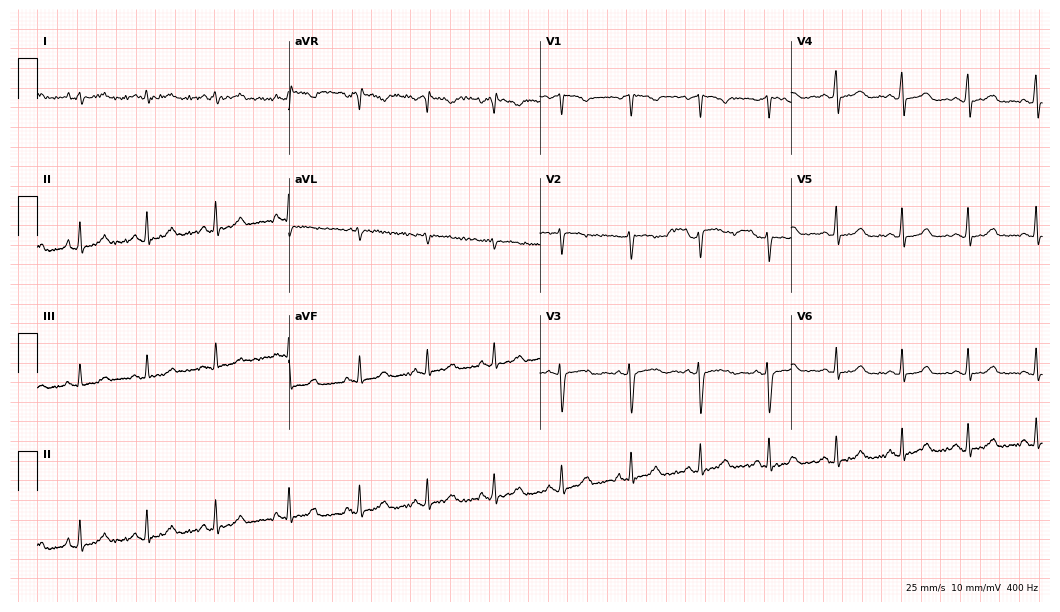
ECG (10.2-second recording at 400 Hz) — a 42-year-old woman. Screened for six findings — first-degree AV block, right bundle branch block (RBBB), left bundle branch block (LBBB), sinus bradycardia, atrial fibrillation (AF), sinus tachycardia — none is recorded.